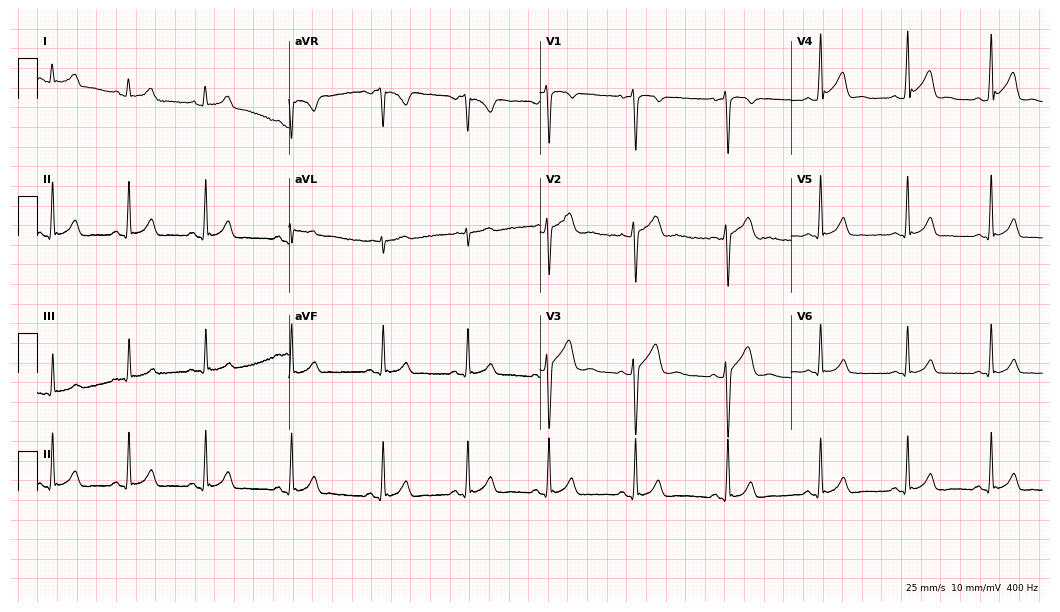
Resting 12-lead electrocardiogram (10.2-second recording at 400 Hz). Patient: a male, 22 years old. None of these six findings is recorded: first-degree AV block, right bundle branch block, left bundle branch block, sinus bradycardia, atrial fibrillation, sinus tachycardia.